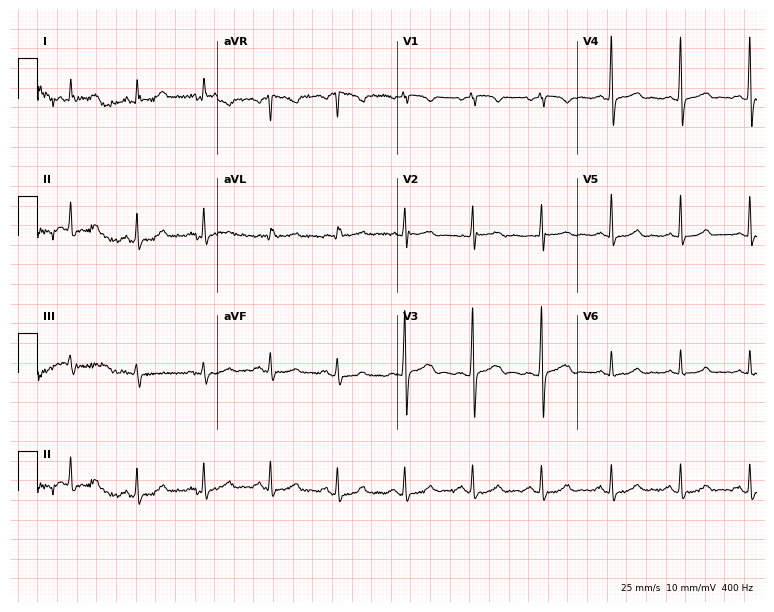
Electrocardiogram, an 81-year-old male. Overall reading on record: normal ECG.